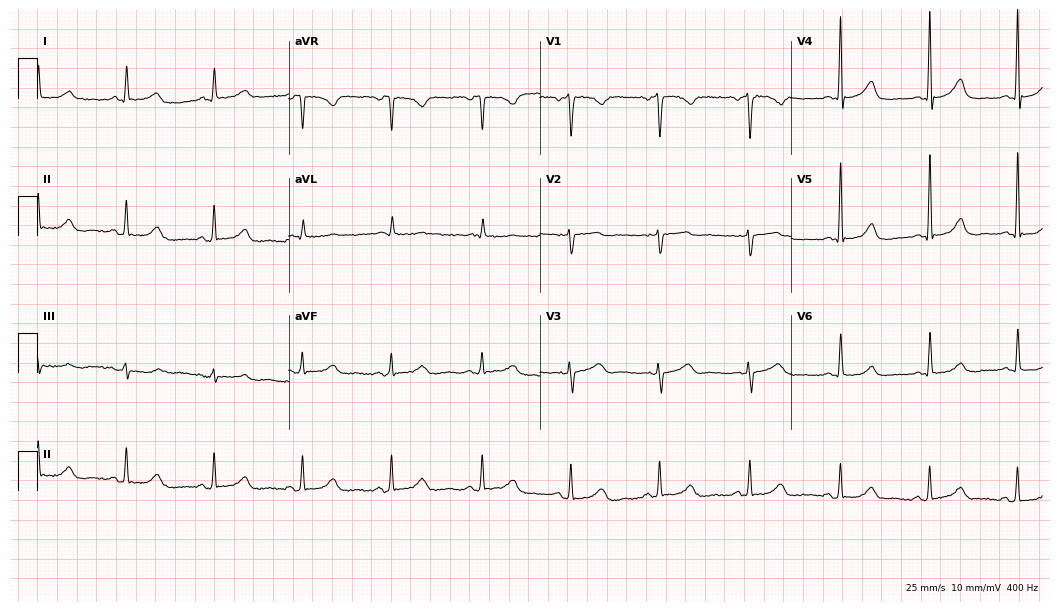
ECG — a female patient, 63 years old. Screened for six findings — first-degree AV block, right bundle branch block, left bundle branch block, sinus bradycardia, atrial fibrillation, sinus tachycardia — none is recorded.